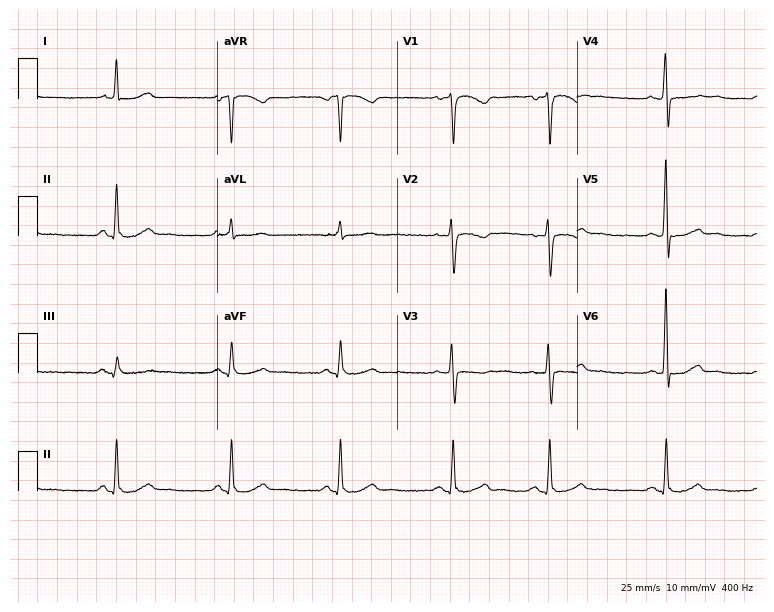
12-lead ECG from a female, 55 years old (7.3-second recording at 400 Hz). Recorded interpretation: within normal limits.